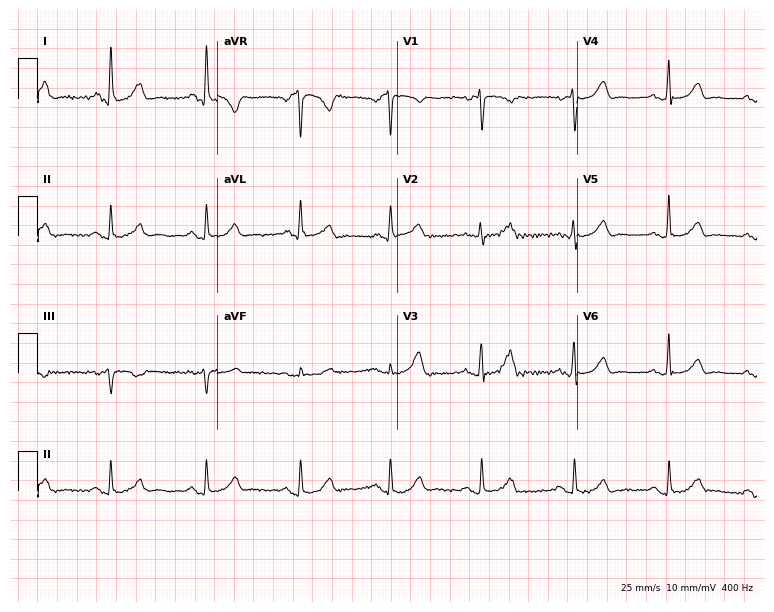
12-lead ECG from a 53-year-old female. Labelled as a normal ECG.